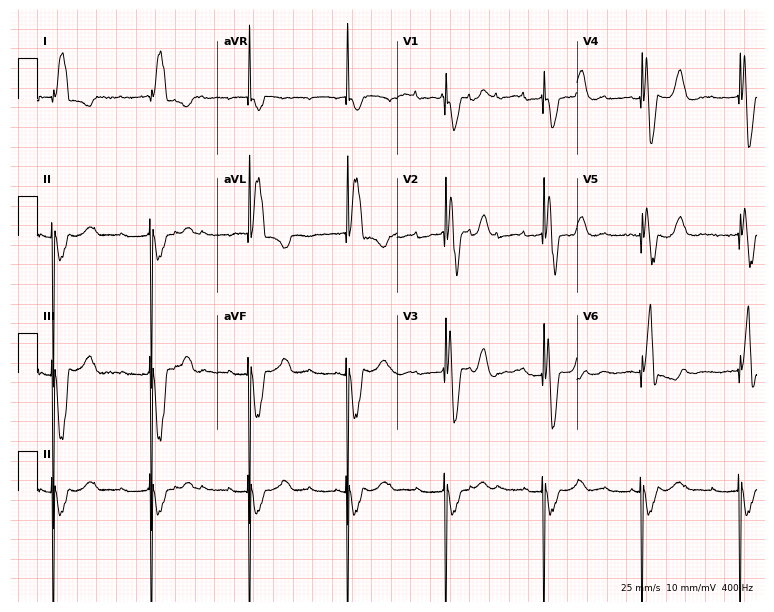
Electrocardiogram, a 79-year-old female. Of the six screened findings (first-degree AV block, right bundle branch block, left bundle branch block, sinus bradycardia, atrial fibrillation, sinus tachycardia), none is recorded.